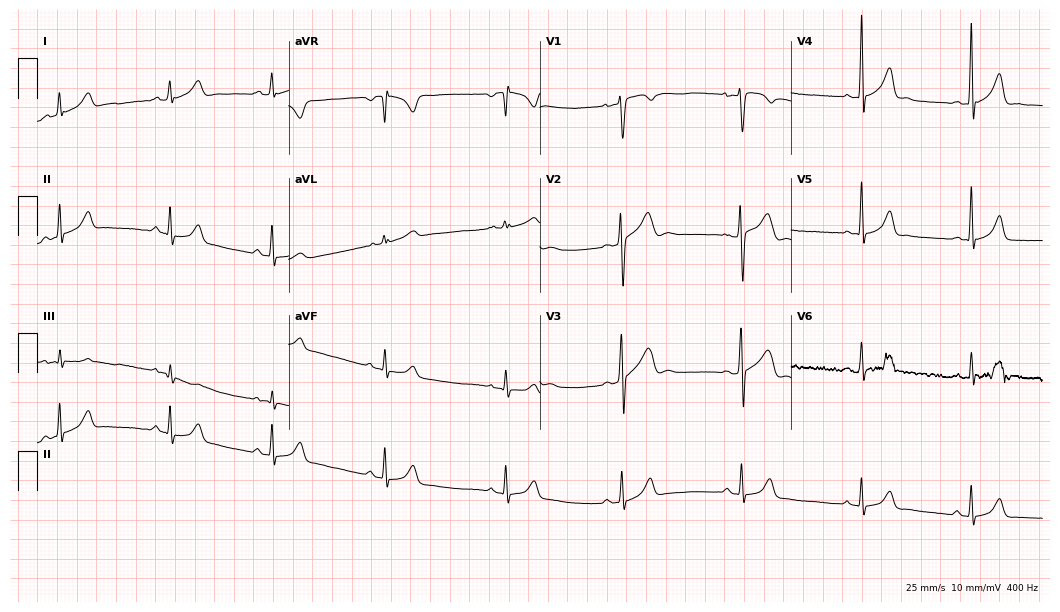
Resting 12-lead electrocardiogram (10.2-second recording at 400 Hz). Patient: a 19-year-old male. Read as a normal ECG.